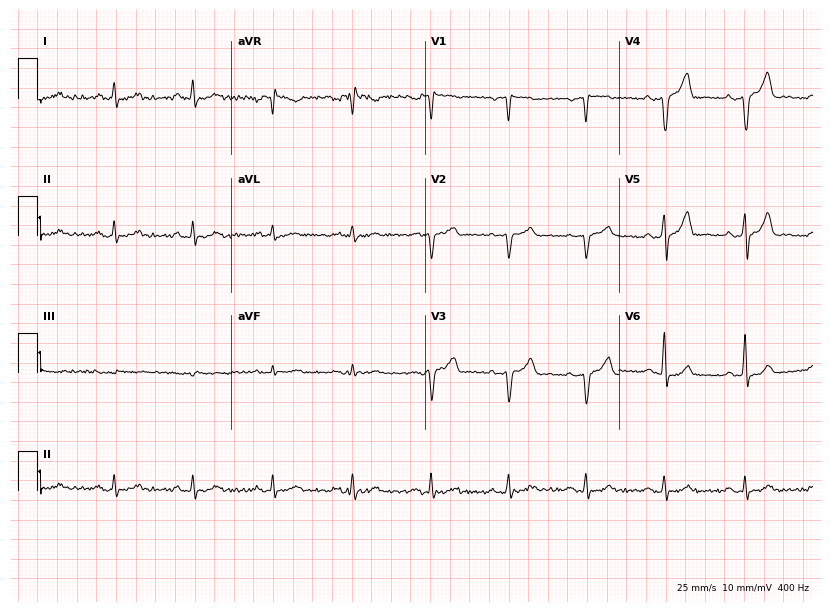
12-lead ECG from a male patient, 52 years old. Recorded interpretation: within normal limits.